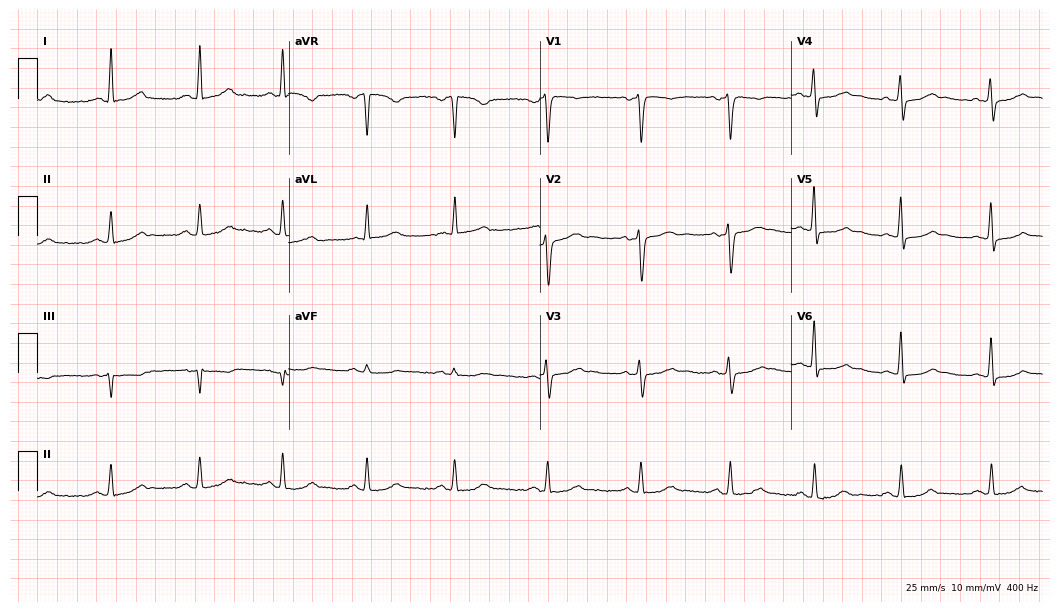
12-lead ECG from a 52-year-old female patient. Labelled as a normal ECG.